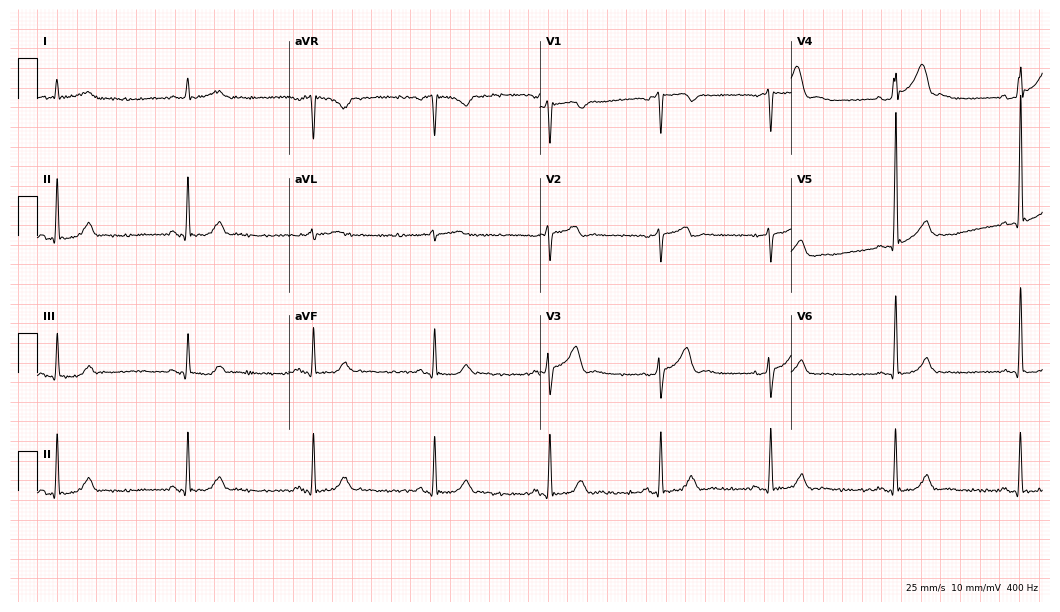
Standard 12-lead ECG recorded from a 64-year-old male patient (10.2-second recording at 400 Hz). None of these six findings is recorded: first-degree AV block, right bundle branch block, left bundle branch block, sinus bradycardia, atrial fibrillation, sinus tachycardia.